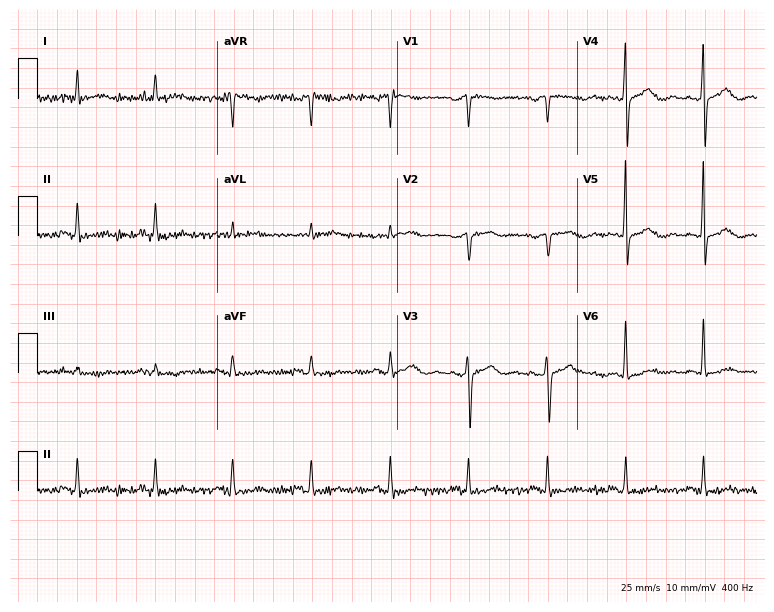
12-lead ECG from a female patient, 85 years old. No first-degree AV block, right bundle branch block (RBBB), left bundle branch block (LBBB), sinus bradycardia, atrial fibrillation (AF) or sinus tachycardia recorded for this tracing. Only these six findings were labelled.